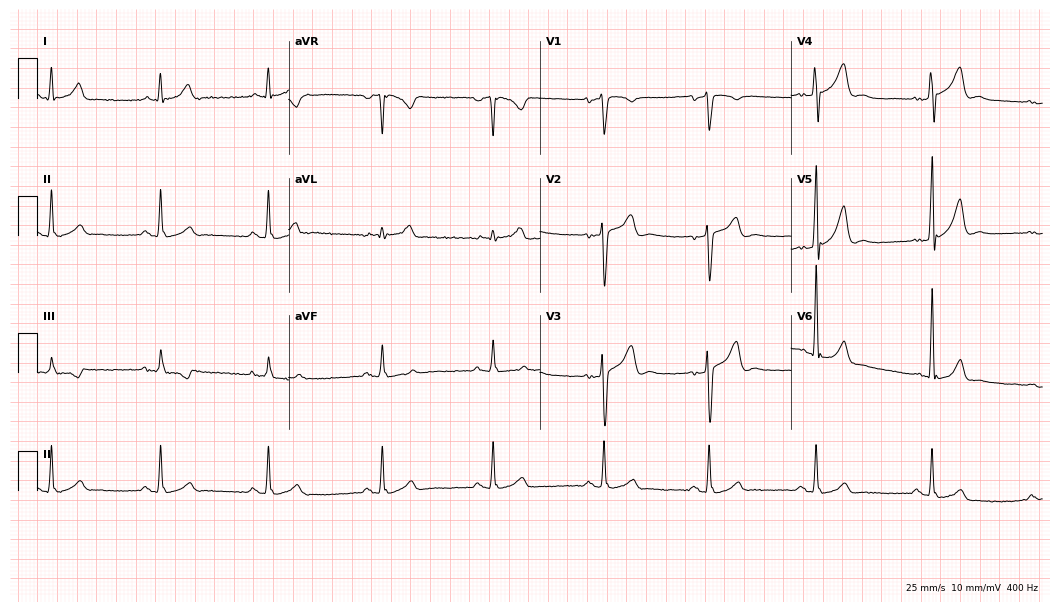
Resting 12-lead electrocardiogram. Patient: a 41-year-old male. Read as a normal ECG.